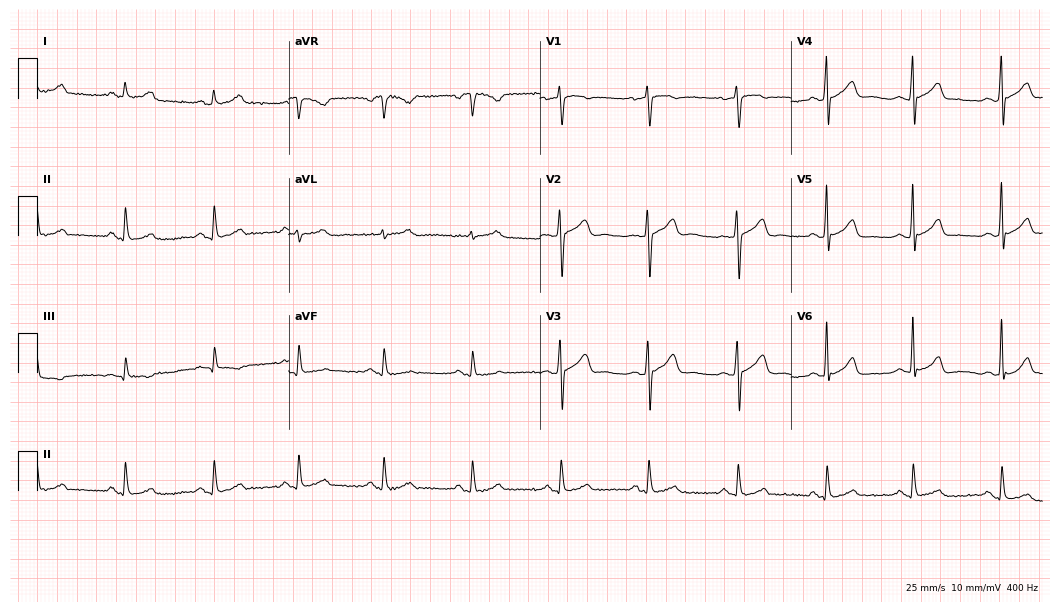
12-lead ECG from a 48-year-old male (10.2-second recording at 400 Hz). Recorded interpretation: within normal limits.